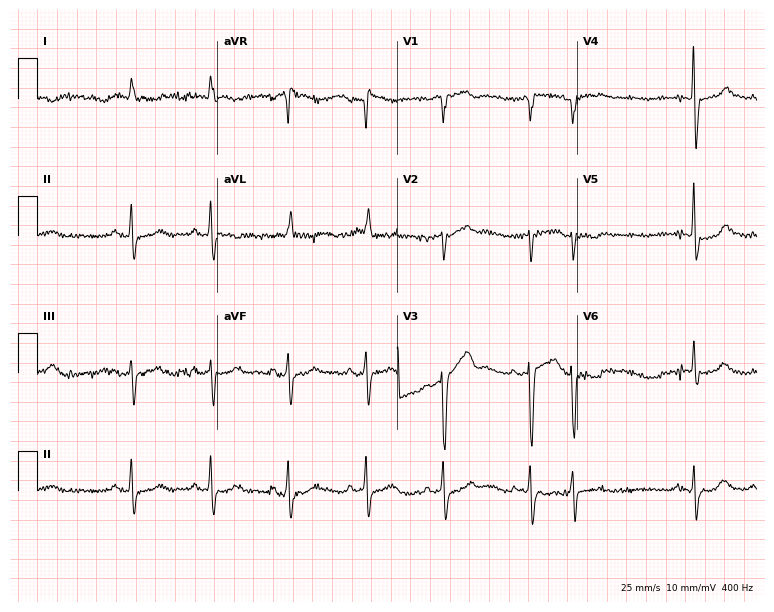
ECG (7.3-second recording at 400 Hz) — a woman, 76 years old. Screened for six findings — first-degree AV block, right bundle branch block, left bundle branch block, sinus bradycardia, atrial fibrillation, sinus tachycardia — none is recorded. Findings outside these six are not listed.